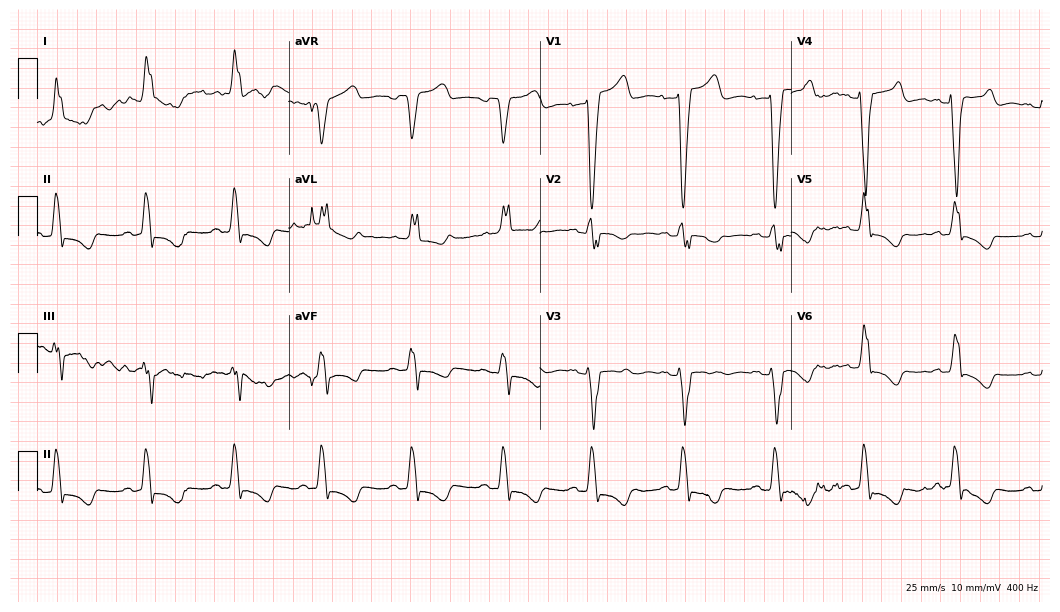
12-lead ECG from a woman, 68 years old (10.2-second recording at 400 Hz). Shows left bundle branch block (LBBB).